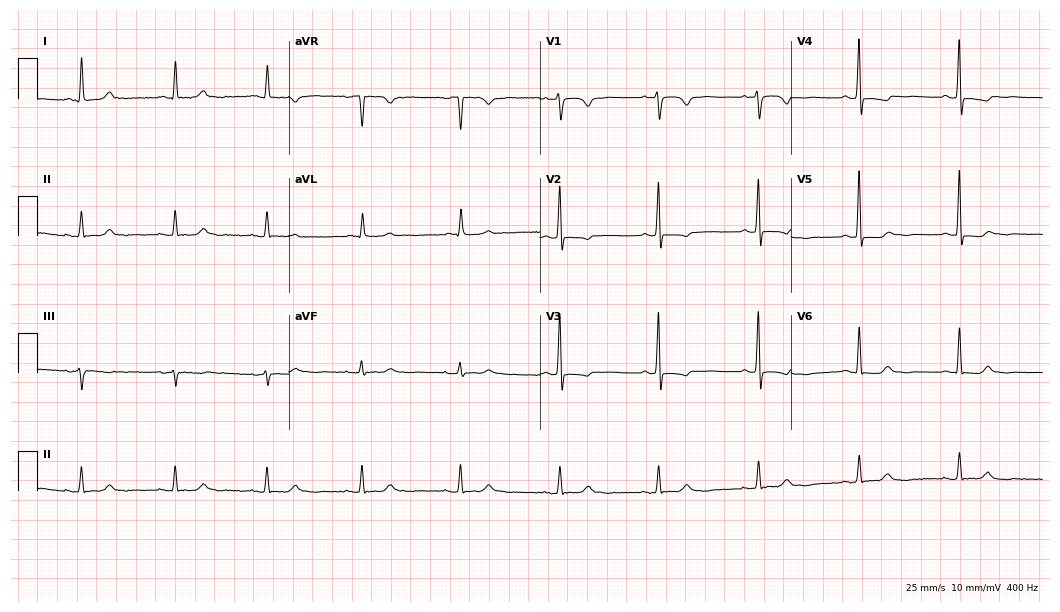
Electrocardiogram (10.2-second recording at 400 Hz), a 63-year-old woman. Of the six screened findings (first-degree AV block, right bundle branch block, left bundle branch block, sinus bradycardia, atrial fibrillation, sinus tachycardia), none is recorded. Only these six findings were labelled.